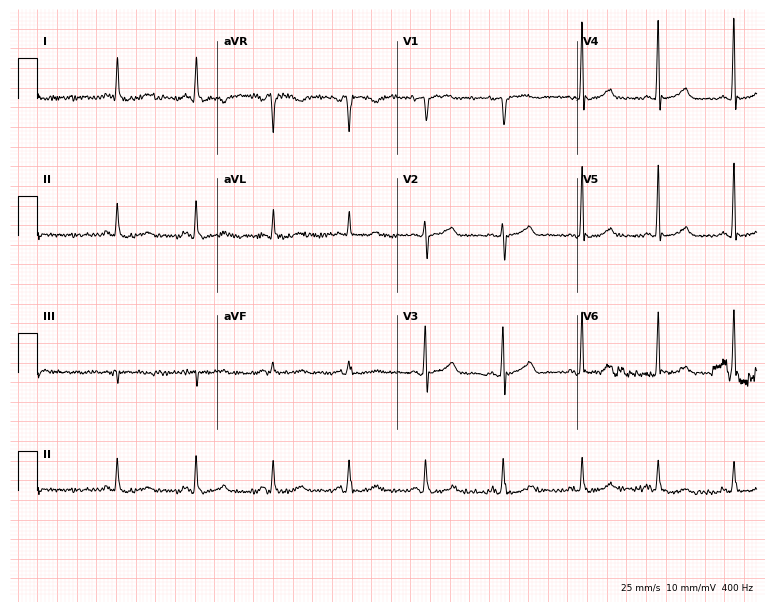
ECG (7.3-second recording at 400 Hz) — a 62-year-old woman. Screened for six findings — first-degree AV block, right bundle branch block (RBBB), left bundle branch block (LBBB), sinus bradycardia, atrial fibrillation (AF), sinus tachycardia — none is recorded. Other findings, if any, are not listed.